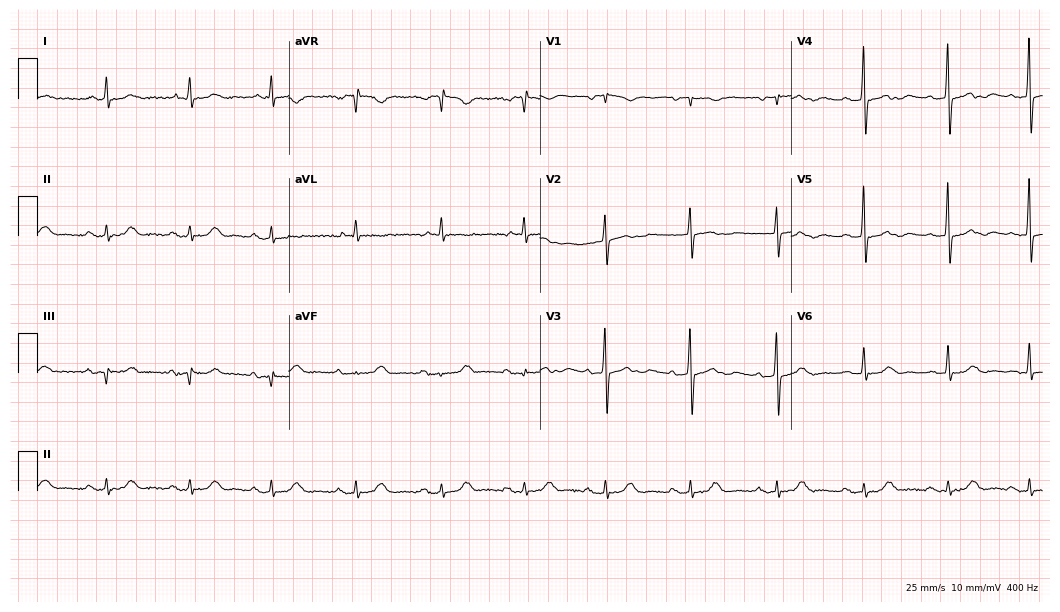
ECG (10.2-second recording at 400 Hz) — a 75-year-old woman. Screened for six findings — first-degree AV block, right bundle branch block (RBBB), left bundle branch block (LBBB), sinus bradycardia, atrial fibrillation (AF), sinus tachycardia — none is recorded.